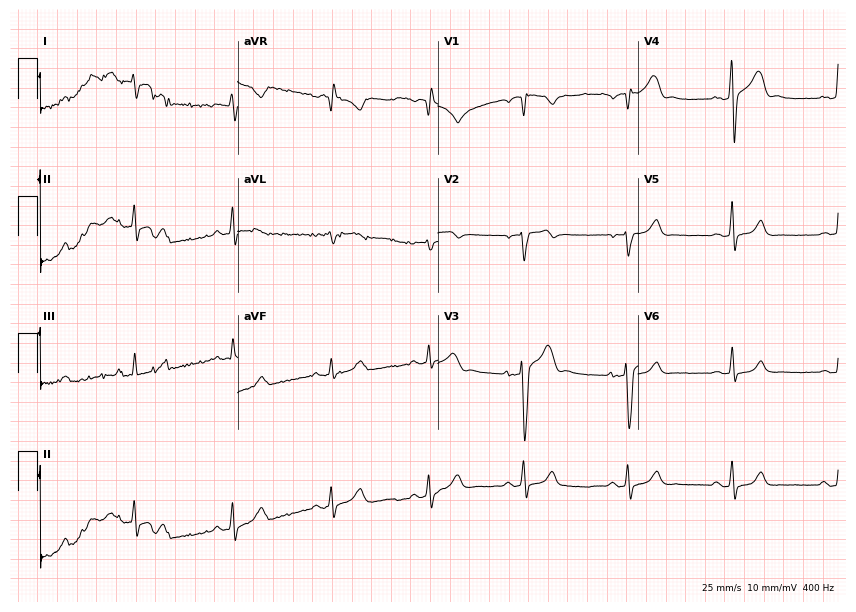
ECG — a 39-year-old male patient. Screened for six findings — first-degree AV block, right bundle branch block, left bundle branch block, sinus bradycardia, atrial fibrillation, sinus tachycardia — none is recorded.